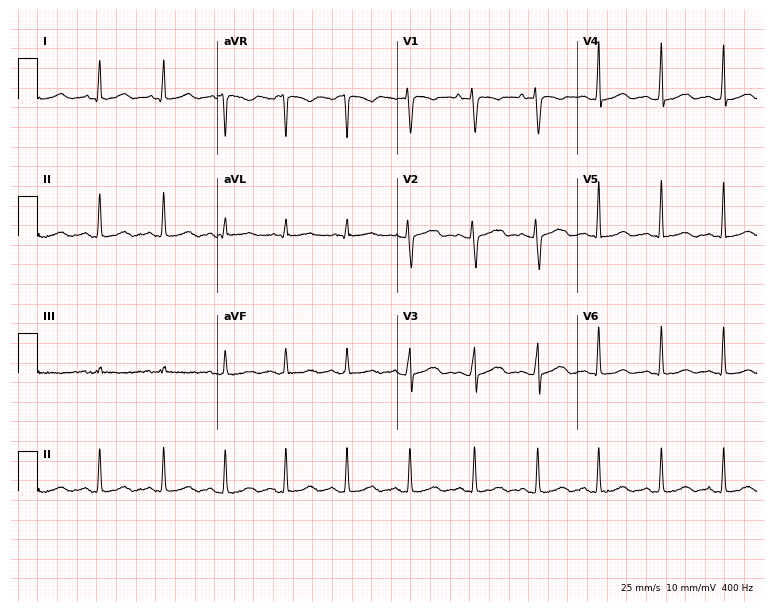
12-lead ECG from a 31-year-old female patient. Screened for six findings — first-degree AV block, right bundle branch block, left bundle branch block, sinus bradycardia, atrial fibrillation, sinus tachycardia — none is recorded.